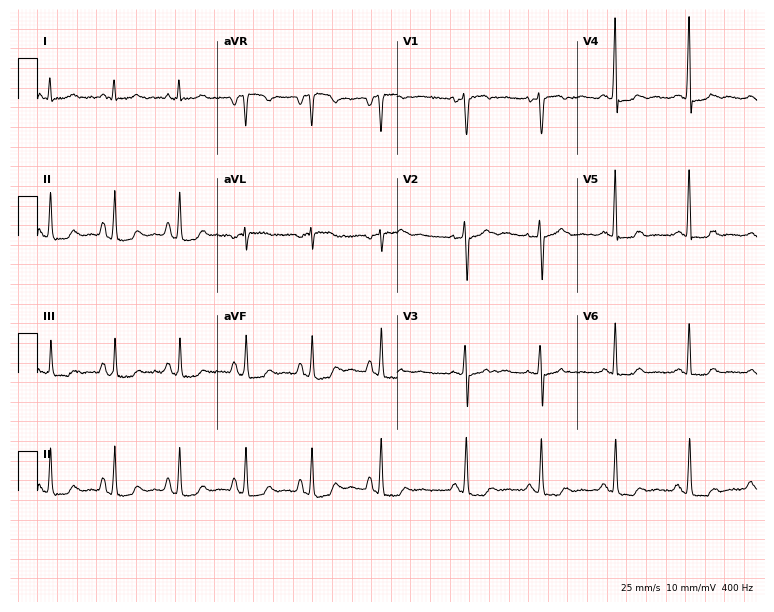
12-lead ECG from a 52-year-old female patient. Labelled as a normal ECG.